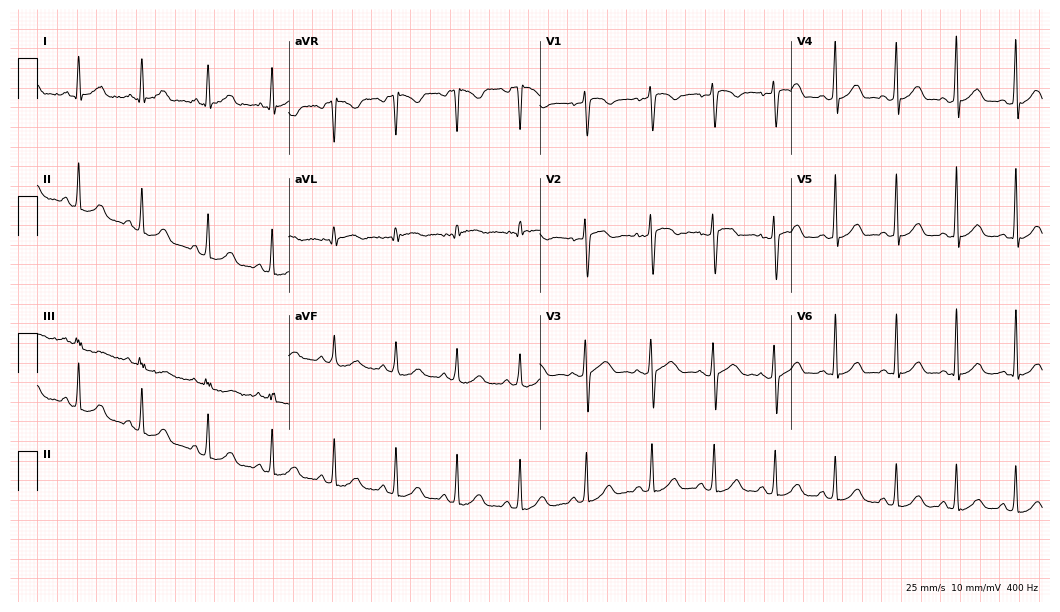
12-lead ECG from a 43-year-old female (10.2-second recording at 400 Hz). Recorded interpretation: within normal limits.